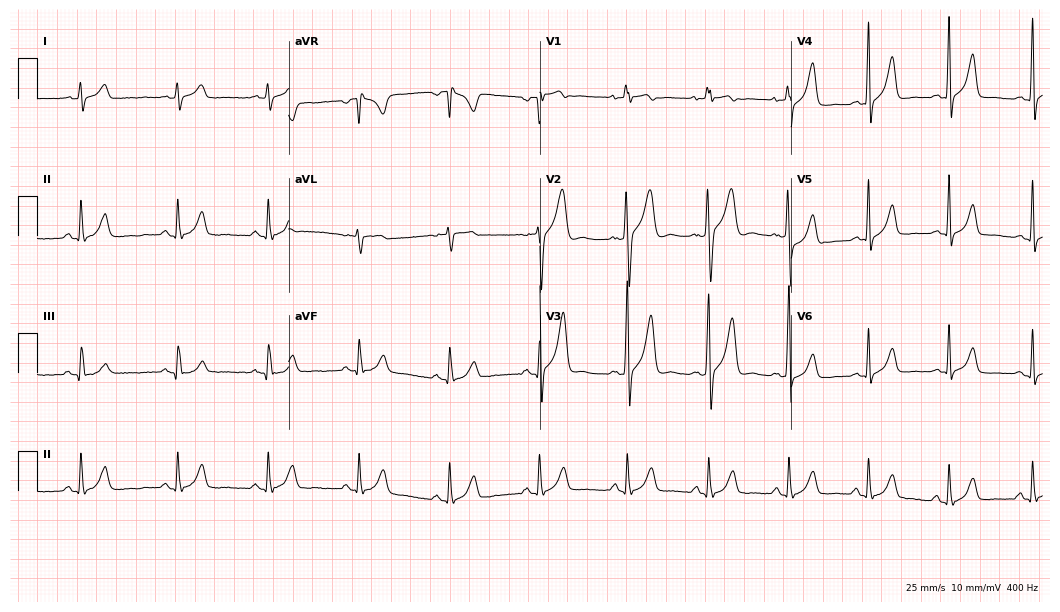
Standard 12-lead ECG recorded from a male patient, 30 years old (10.2-second recording at 400 Hz). Read as a normal ECG.